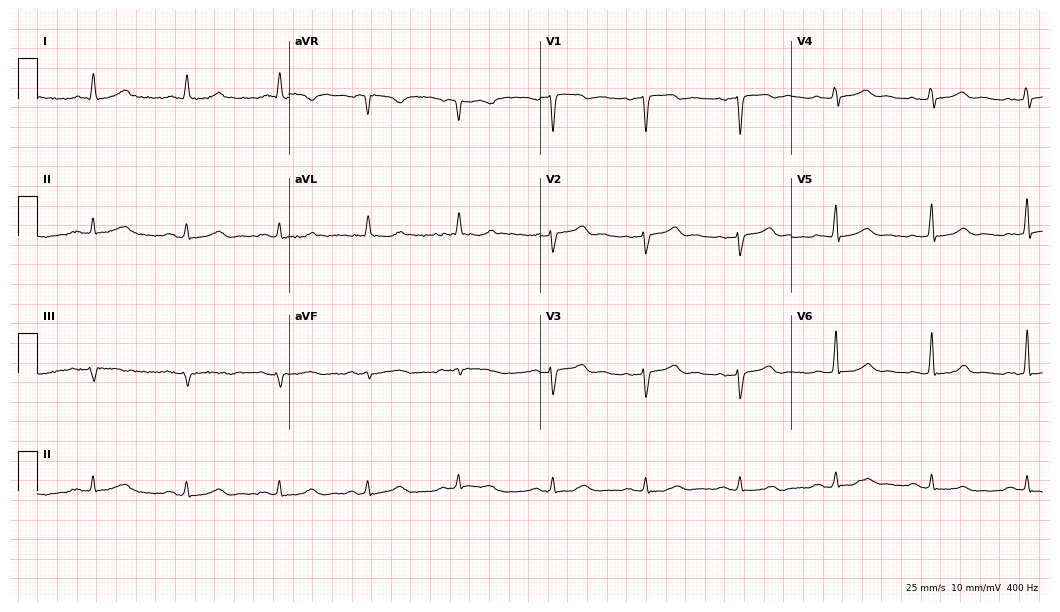
Resting 12-lead electrocardiogram (10.2-second recording at 400 Hz). Patient: a female, 69 years old. Read as a normal ECG.